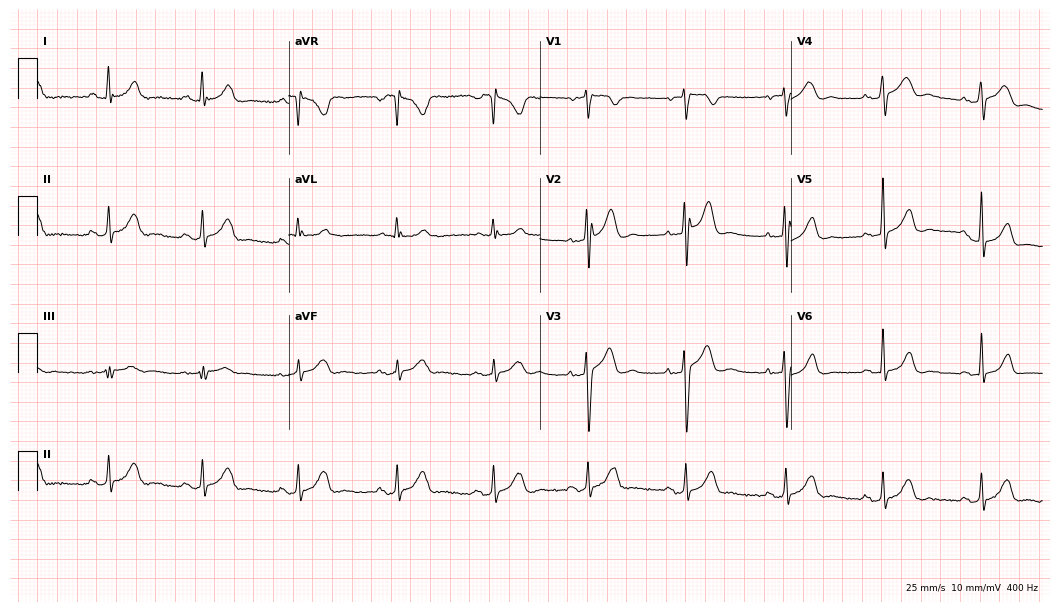
Electrocardiogram (10.2-second recording at 400 Hz), a male patient, 36 years old. Of the six screened findings (first-degree AV block, right bundle branch block, left bundle branch block, sinus bradycardia, atrial fibrillation, sinus tachycardia), none is recorded. Other findings, if any, are not listed.